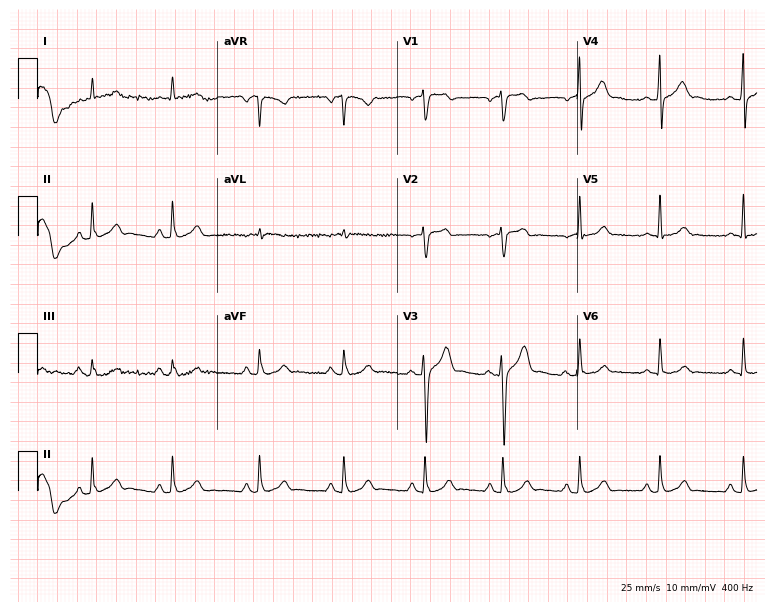
Resting 12-lead electrocardiogram. Patient: a 37-year-old male. Read as a normal ECG.